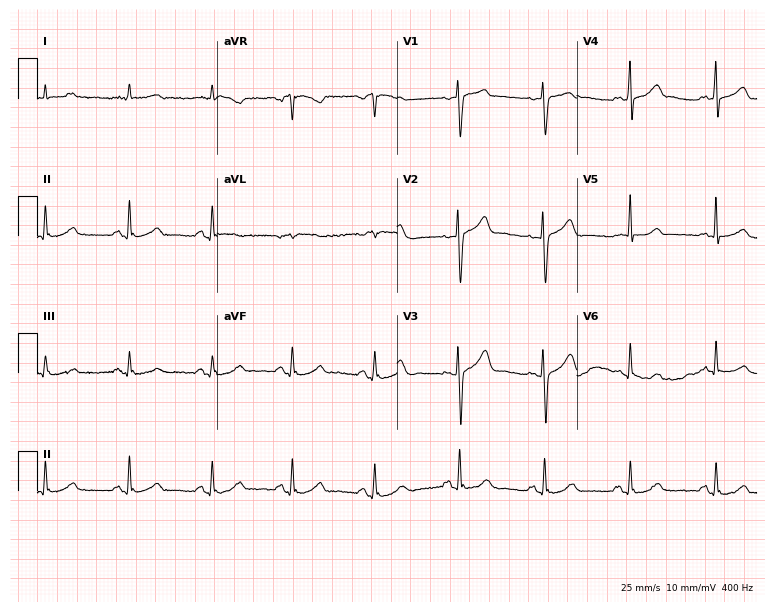
Standard 12-lead ECG recorded from a 51-year-old woman. Read as a normal ECG.